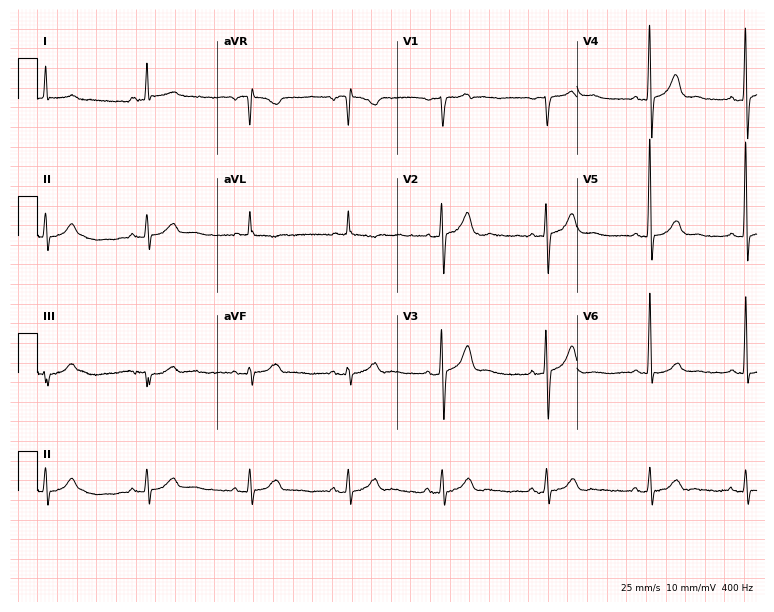
Standard 12-lead ECG recorded from a male, 70 years old. Read as a normal ECG.